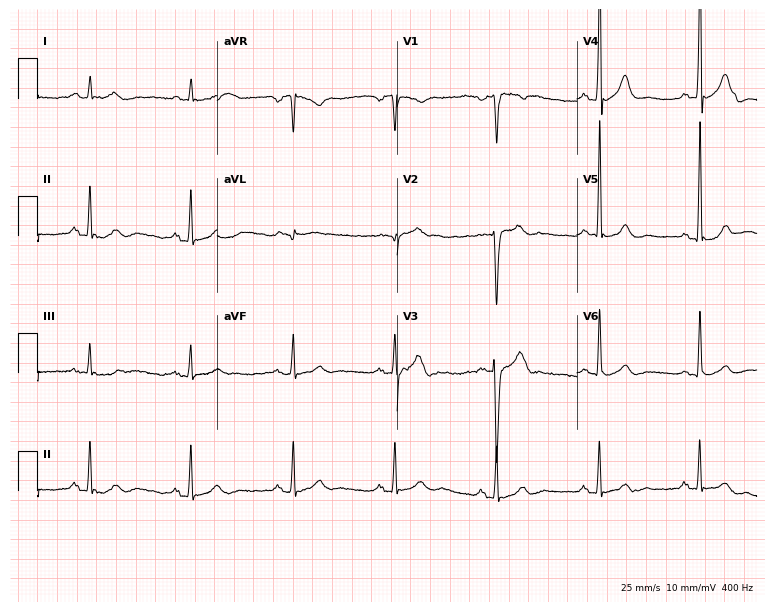
12-lead ECG (7.3-second recording at 400 Hz) from a male patient, 36 years old. Screened for six findings — first-degree AV block, right bundle branch block, left bundle branch block, sinus bradycardia, atrial fibrillation, sinus tachycardia — none is recorded. Only these six findings were labelled.